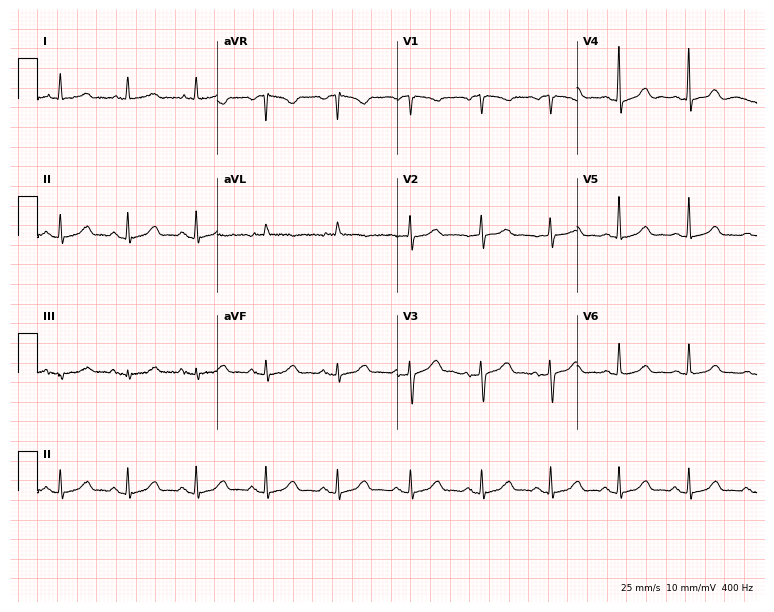
Standard 12-lead ECG recorded from a 71-year-old woman. None of these six findings is recorded: first-degree AV block, right bundle branch block, left bundle branch block, sinus bradycardia, atrial fibrillation, sinus tachycardia. Other findings, if any, are not listed.